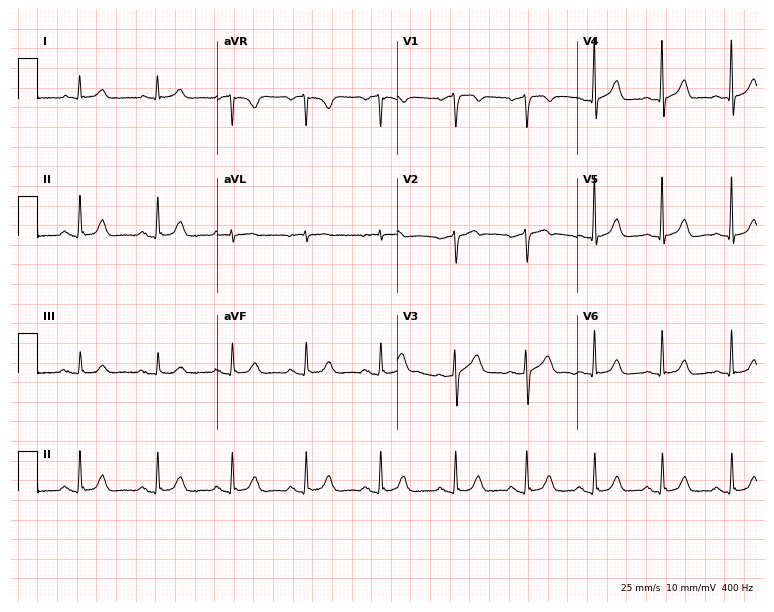
Resting 12-lead electrocardiogram. Patient: a male, 67 years old. Read as a normal ECG.